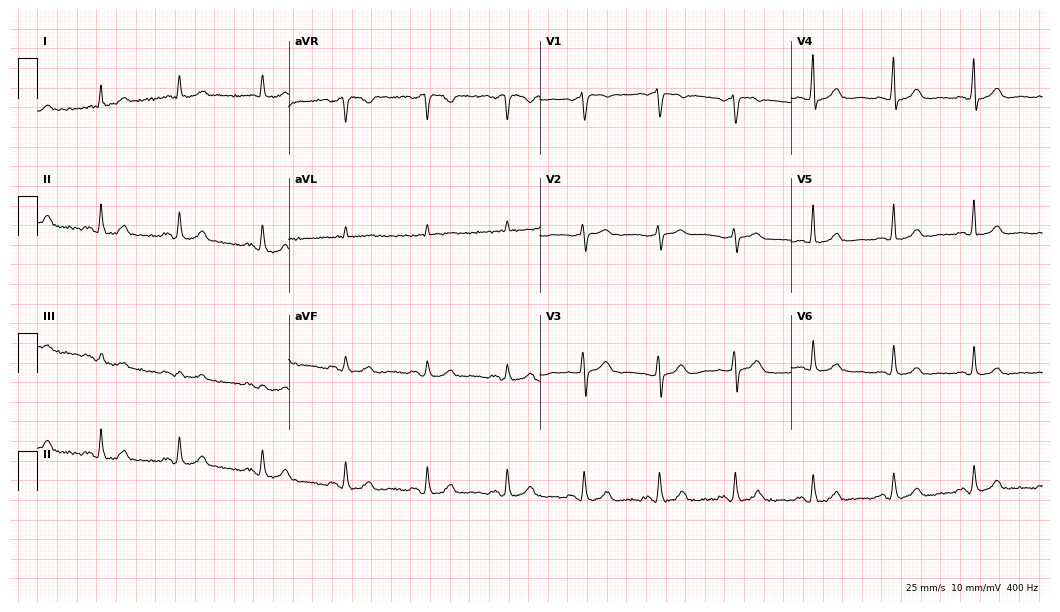
ECG — a woman, 66 years old. Screened for six findings — first-degree AV block, right bundle branch block, left bundle branch block, sinus bradycardia, atrial fibrillation, sinus tachycardia — none is recorded. Only these six findings were labelled.